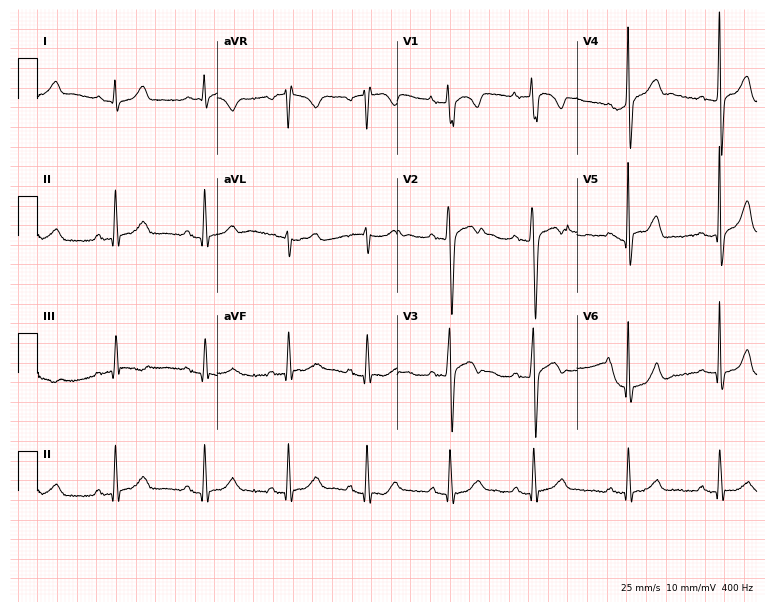
Electrocardiogram, a man, 18 years old. Overall reading on record: normal ECG.